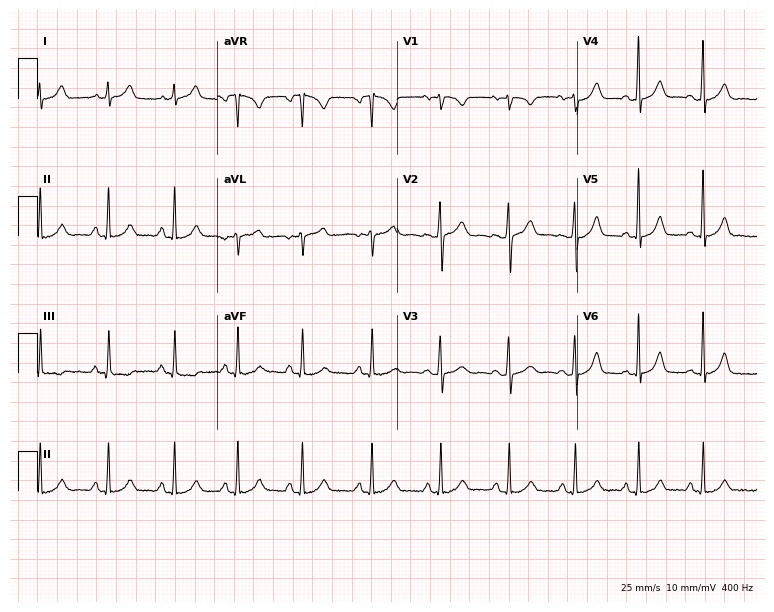
Resting 12-lead electrocardiogram (7.3-second recording at 400 Hz). Patient: a 22-year-old woman. Read as a normal ECG.